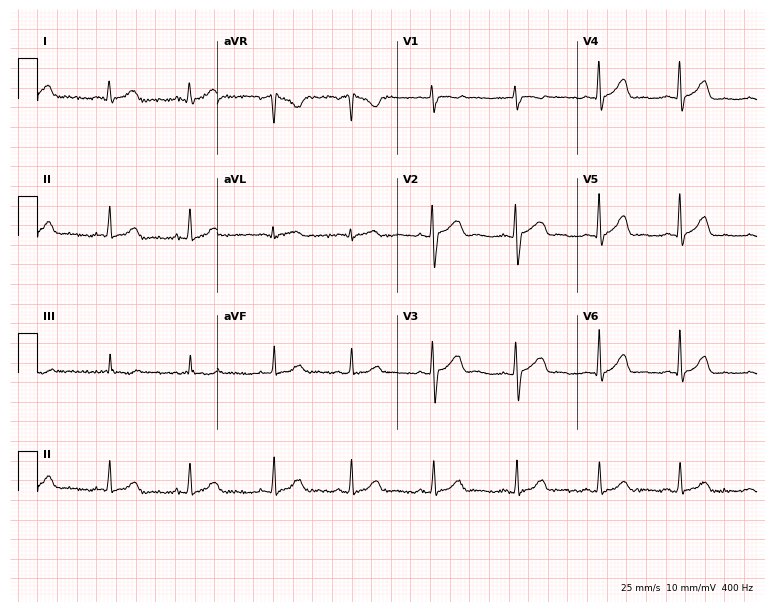
Standard 12-lead ECG recorded from a woman, 35 years old. Read as a normal ECG.